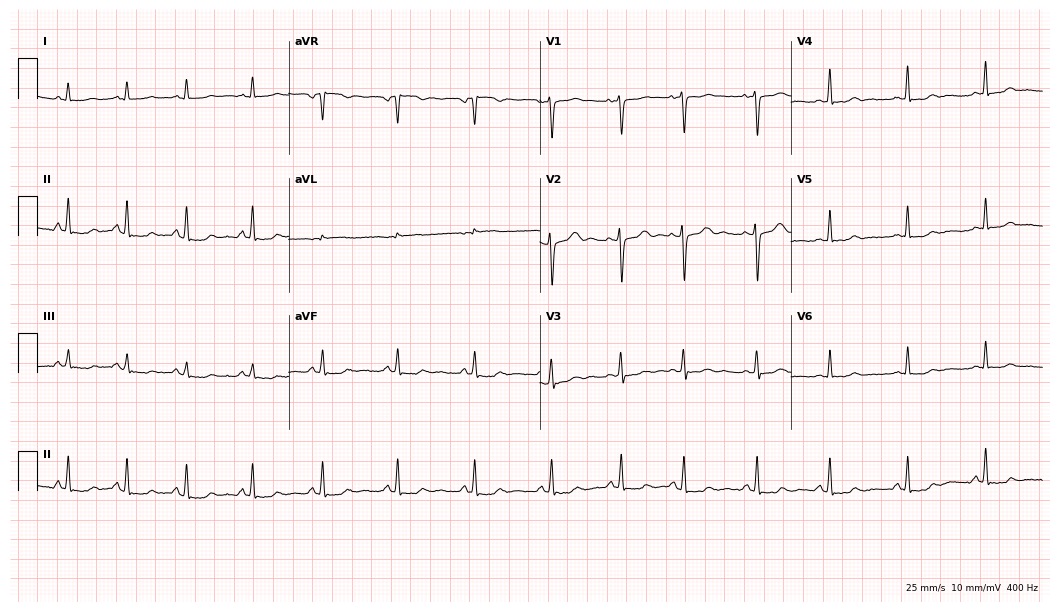
ECG — a 24-year-old woman. Screened for six findings — first-degree AV block, right bundle branch block, left bundle branch block, sinus bradycardia, atrial fibrillation, sinus tachycardia — none is recorded.